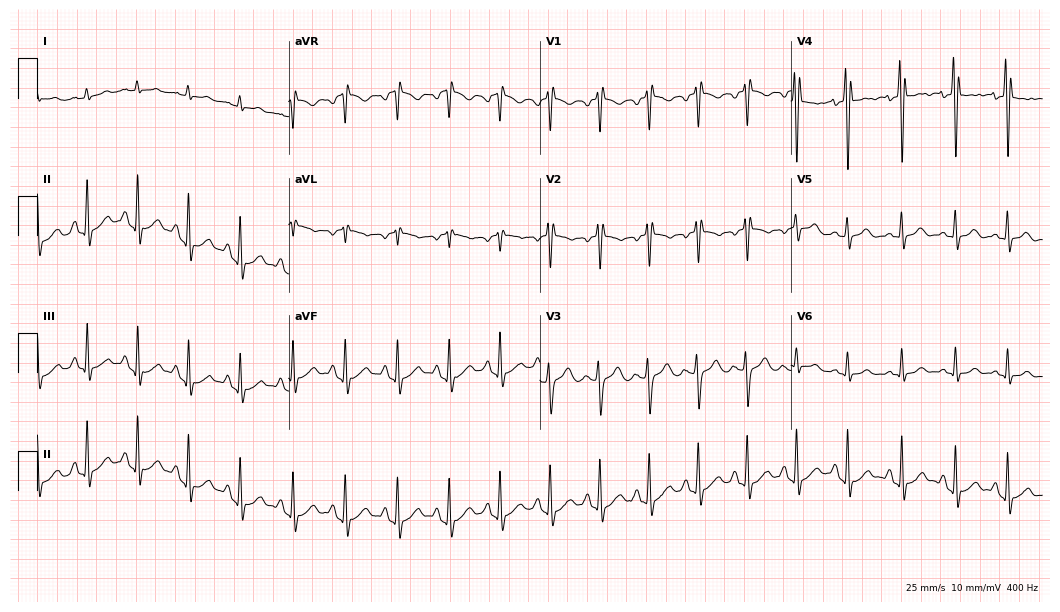
12-lead ECG (10.2-second recording at 400 Hz) from a female patient, 52 years old. Screened for six findings — first-degree AV block, right bundle branch block, left bundle branch block, sinus bradycardia, atrial fibrillation, sinus tachycardia — none is recorded.